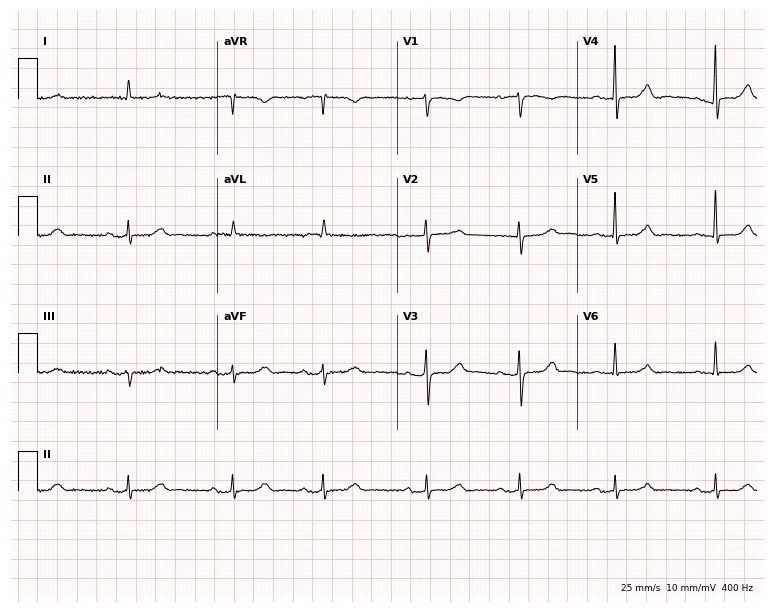
Standard 12-lead ECG recorded from a female patient, 85 years old (7.3-second recording at 400 Hz). The tracing shows first-degree AV block.